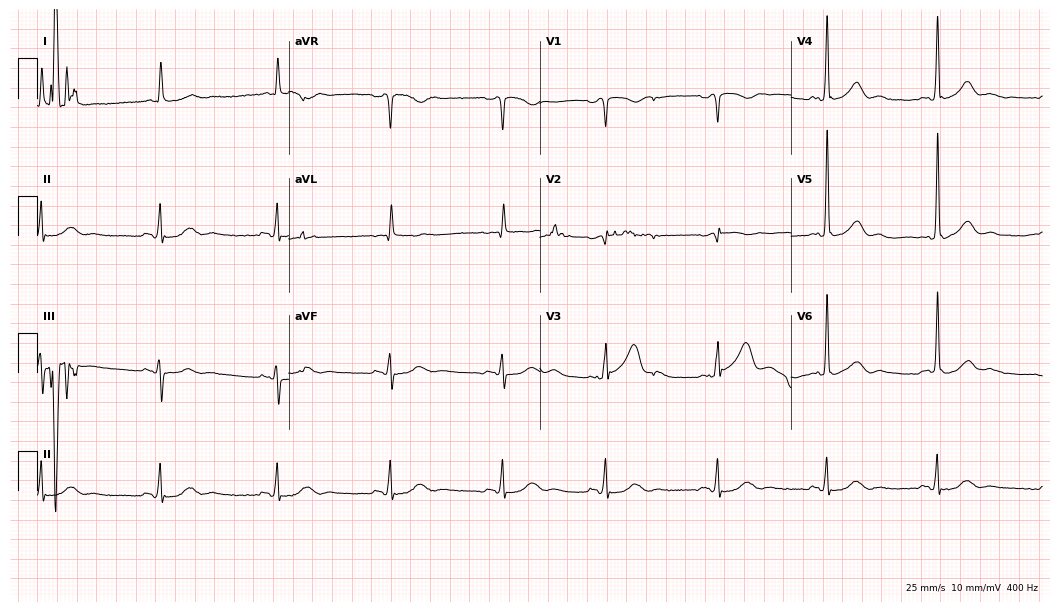
Resting 12-lead electrocardiogram. Patient: a male, 72 years old. Read as a normal ECG.